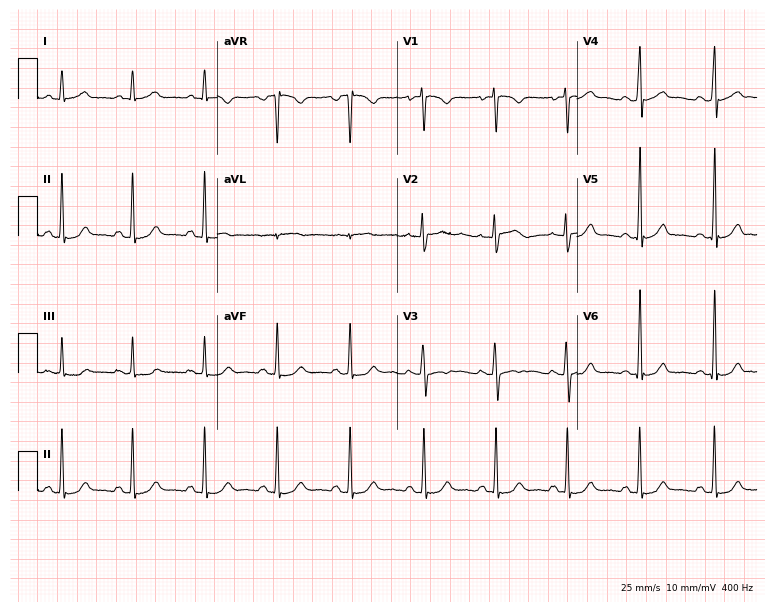
12-lead ECG from a 33-year-old female (7.3-second recording at 400 Hz). Recorded interpretation: within normal limits.